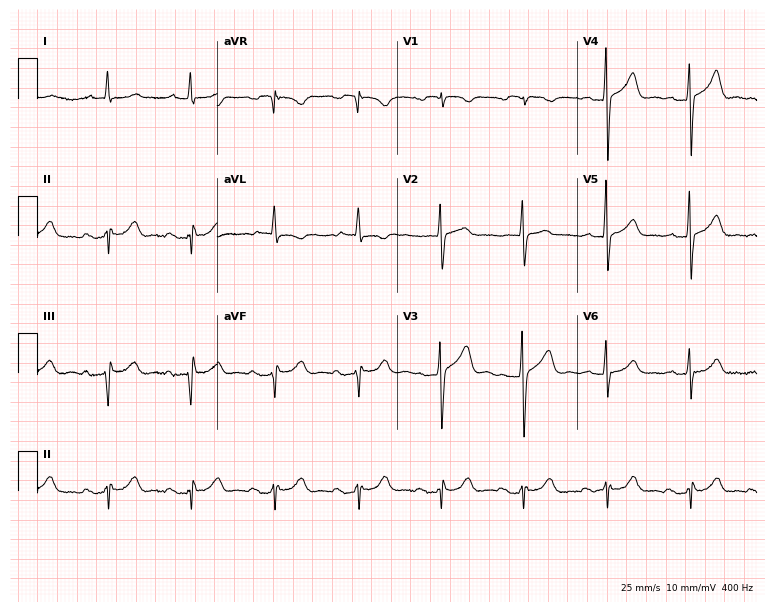
Electrocardiogram (7.3-second recording at 400 Hz), a man, 83 years old. Interpretation includes first-degree AV block.